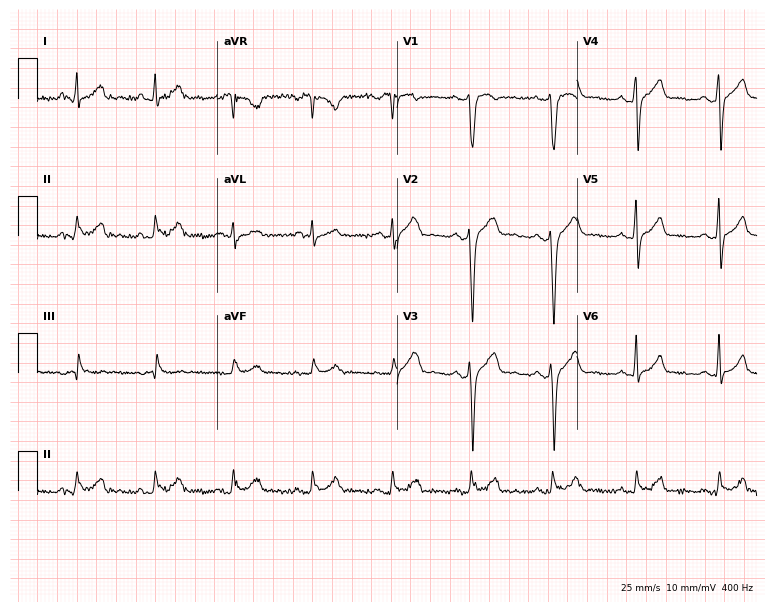
Electrocardiogram (7.3-second recording at 400 Hz), a man, 33 years old. Overall reading on record: normal ECG.